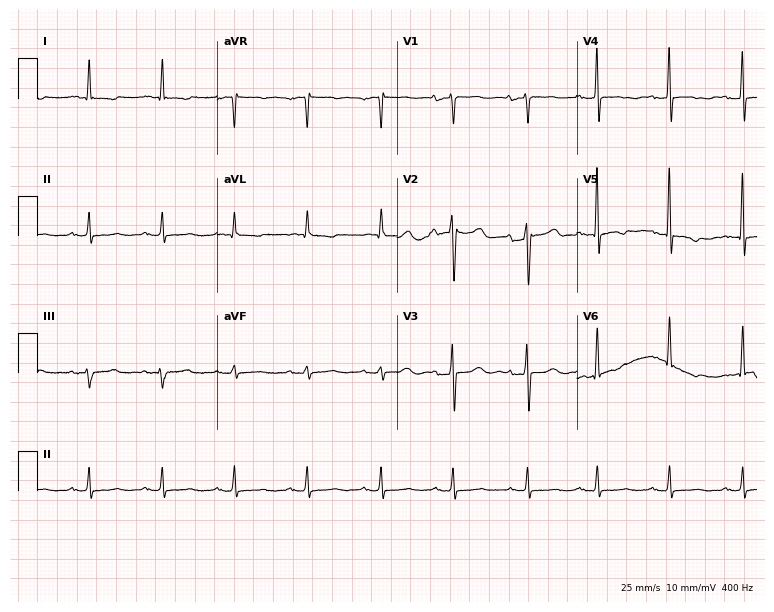
Electrocardiogram, an 80-year-old female. Of the six screened findings (first-degree AV block, right bundle branch block, left bundle branch block, sinus bradycardia, atrial fibrillation, sinus tachycardia), none is recorded.